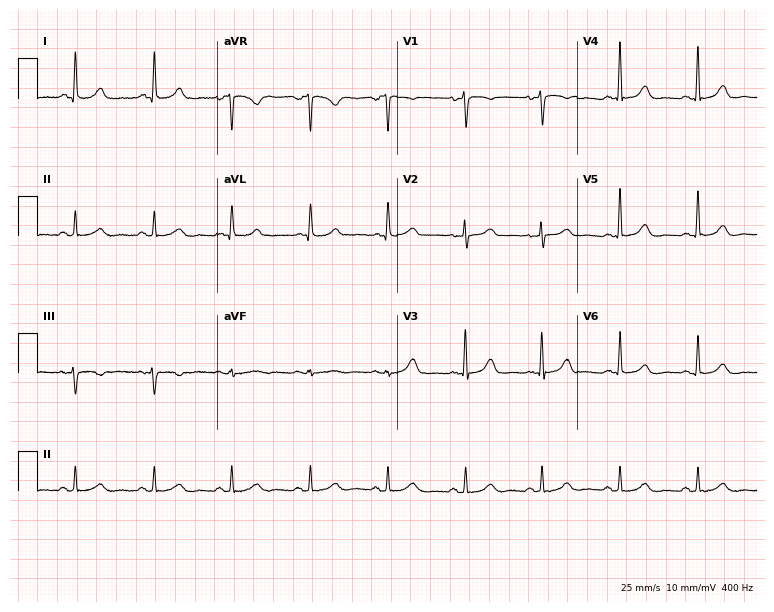
12-lead ECG from a 52-year-old female patient. Recorded interpretation: within normal limits.